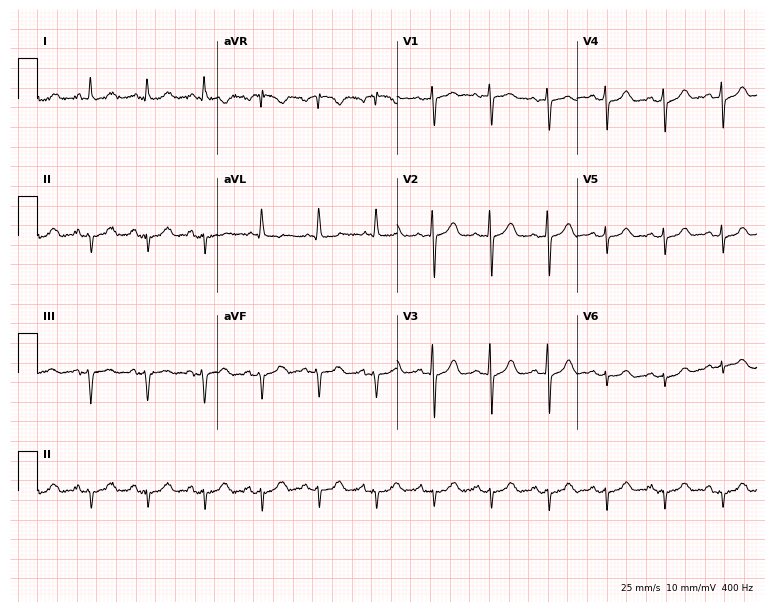
Resting 12-lead electrocardiogram. Patient: a female, 72 years old. The tracing shows sinus tachycardia (a sinus rate of 100 beats per minute or more).